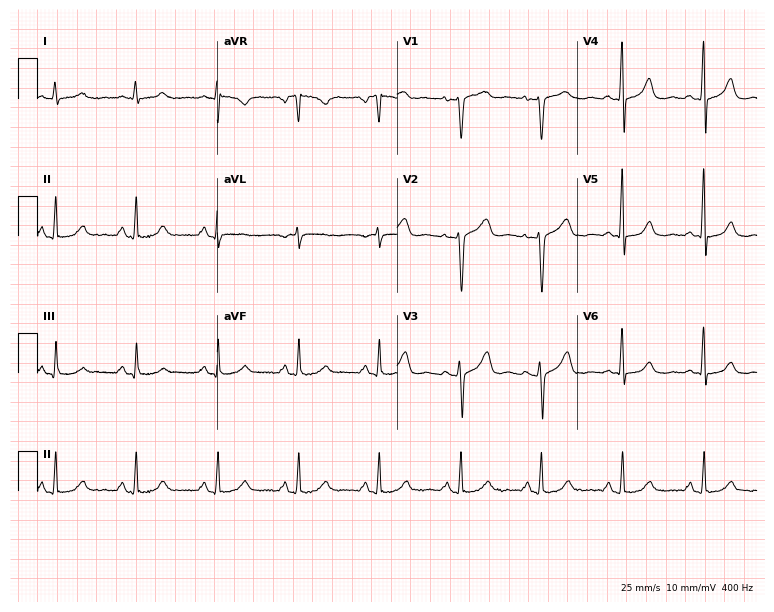
Resting 12-lead electrocardiogram. Patient: a woman, 53 years old. None of these six findings is recorded: first-degree AV block, right bundle branch block, left bundle branch block, sinus bradycardia, atrial fibrillation, sinus tachycardia.